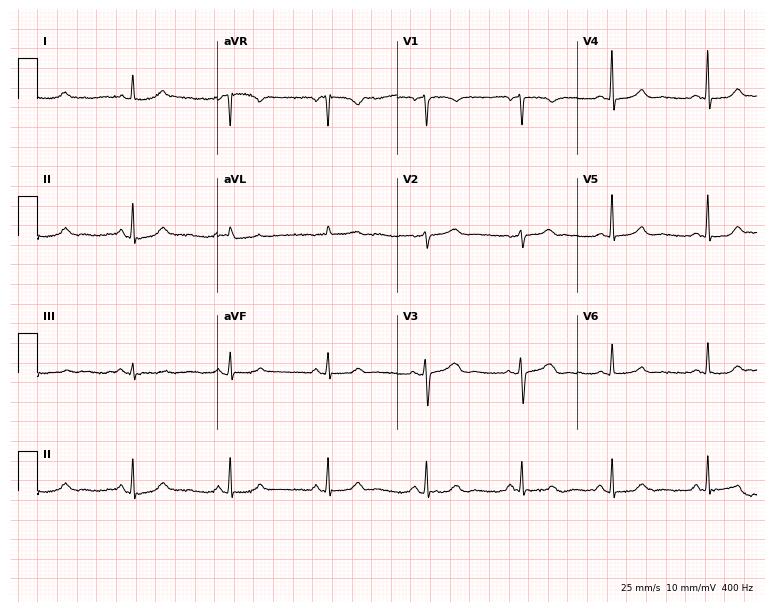
Standard 12-lead ECG recorded from a woman, 60 years old (7.3-second recording at 400 Hz). Read as a normal ECG.